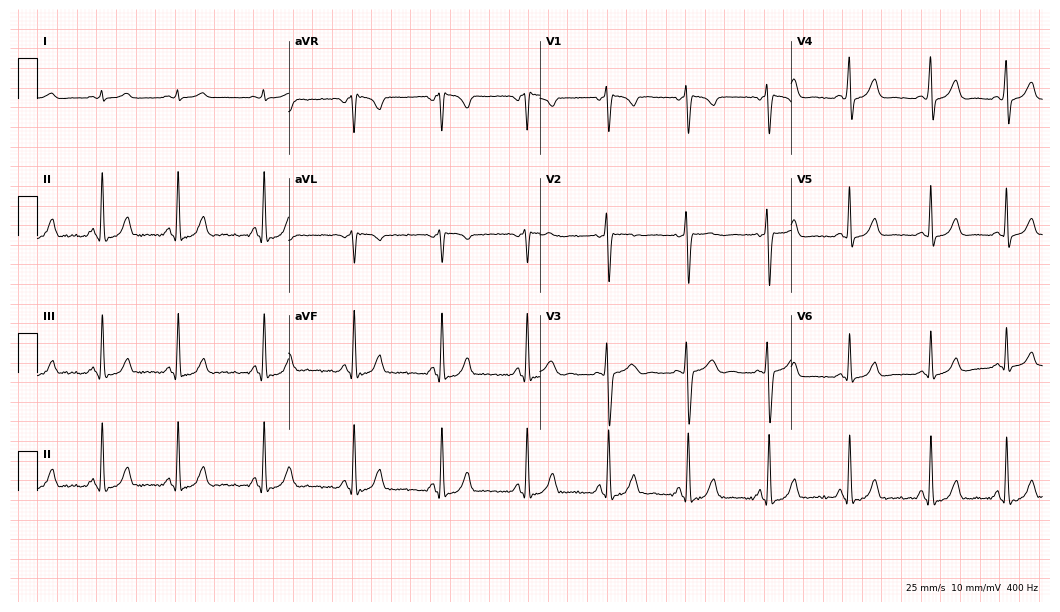
ECG — a female, 26 years old. Screened for six findings — first-degree AV block, right bundle branch block, left bundle branch block, sinus bradycardia, atrial fibrillation, sinus tachycardia — none is recorded.